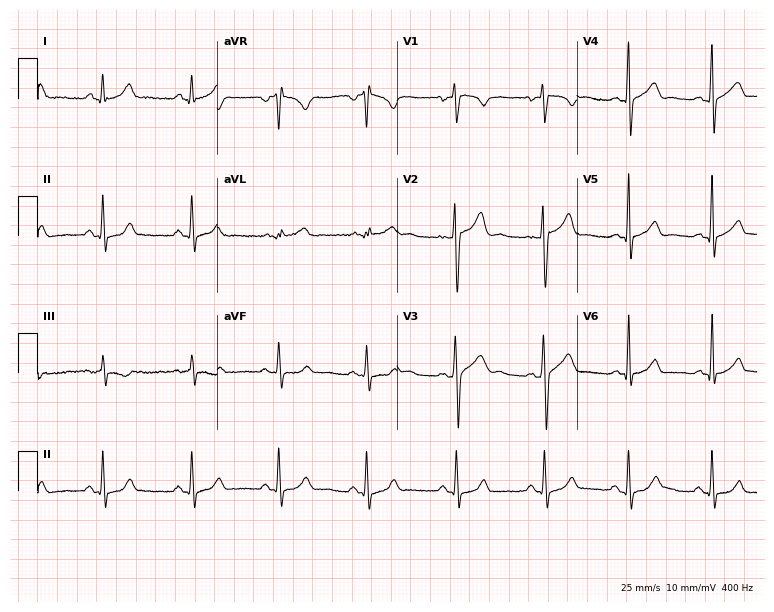
12-lead ECG from a 26-year-old male. Recorded interpretation: within normal limits.